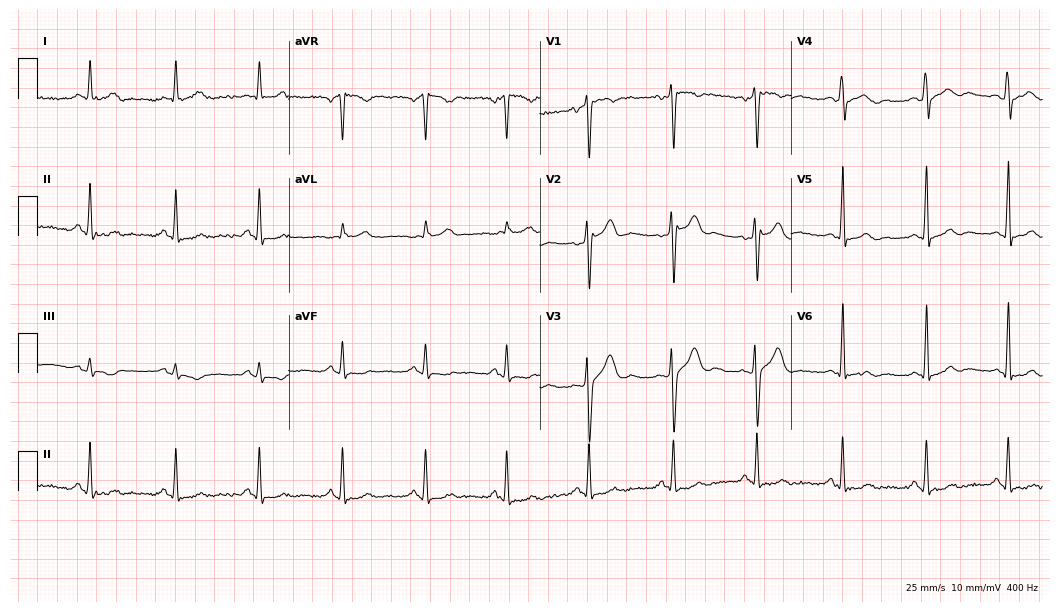
ECG — a male patient, 36 years old. Labelled as a normal ECG.